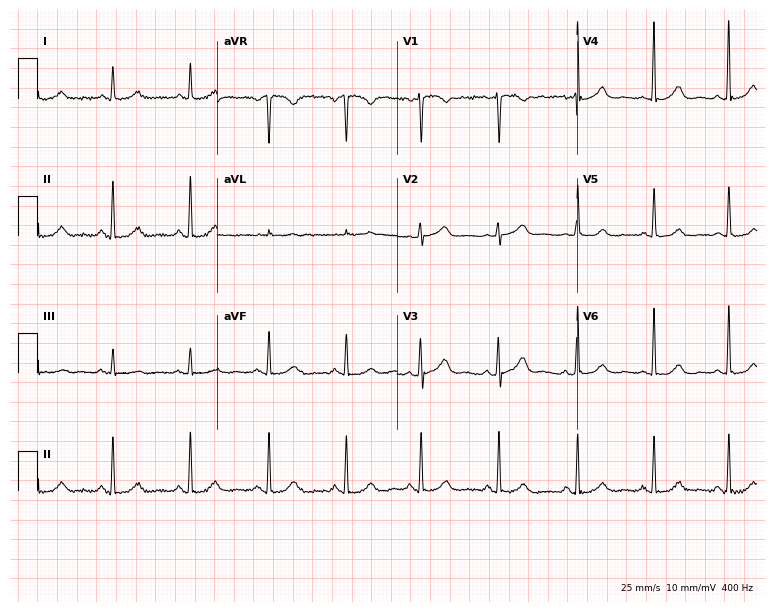
Electrocardiogram (7.3-second recording at 400 Hz), a female, 39 years old. Of the six screened findings (first-degree AV block, right bundle branch block, left bundle branch block, sinus bradycardia, atrial fibrillation, sinus tachycardia), none is recorded.